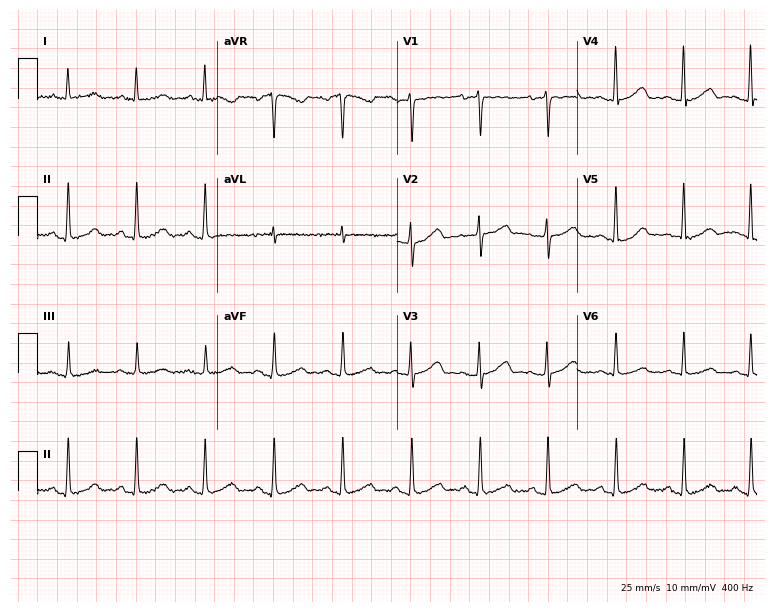
12-lead ECG from a 57-year-old female. Recorded interpretation: within normal limits.